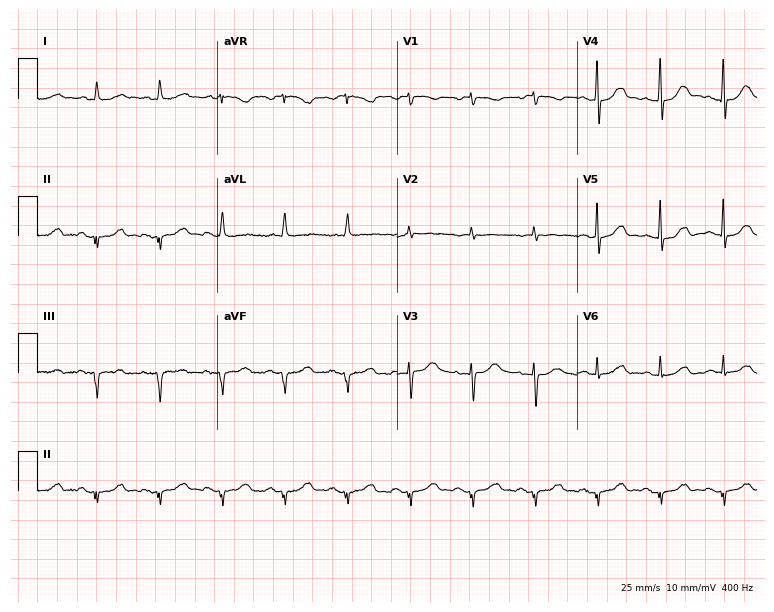
Electrocardiogram (7.3-second recording at 400 Hz), a female patient, 81 years old. Of the six screened findings (first-degree AV block, right bundle branch block, left bundle branch block, sinus bradycardia, atrial fibrillation, sinus tachycardia), none is recorded. Findings outside these six are not listed.